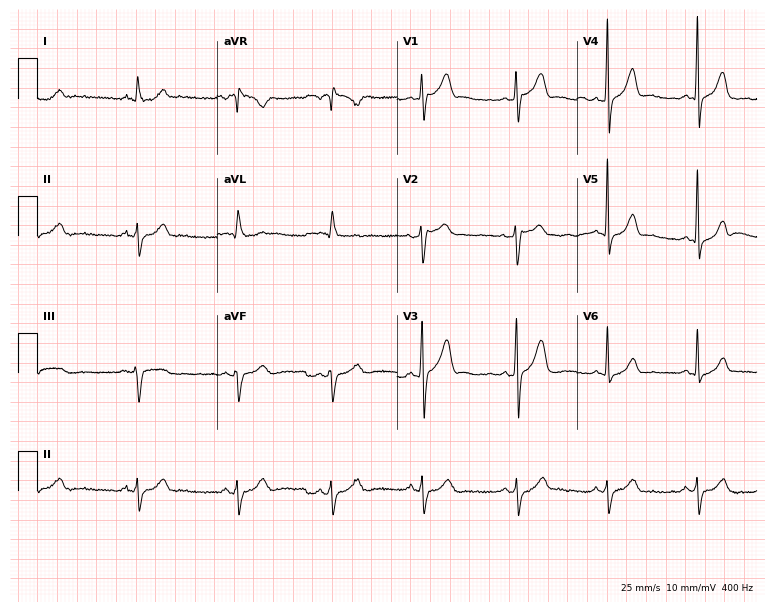
ECG — a male patient, 48 years old. Screened for six findings — first-degree AV block, right bundle branch block, left bundle branch block, sinus bradycardia, atrial fibrillation, sinus tachycardia — none is recorded. Findings outside these six are not listed.